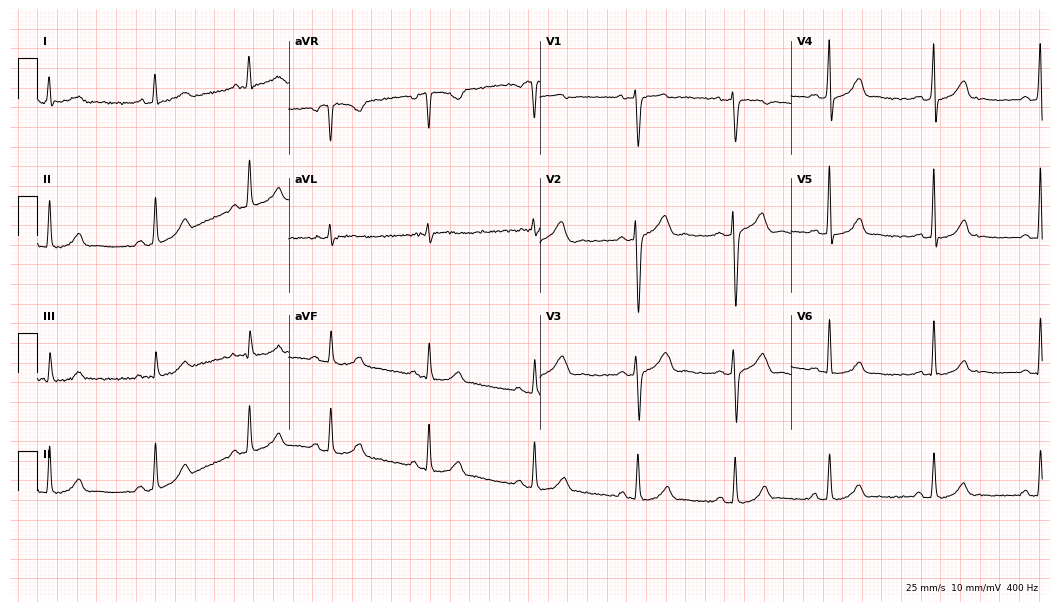
ECG (10.2-second recording at 400 Hz) — a 34-year-old woman. Labelled as a normal ECG.